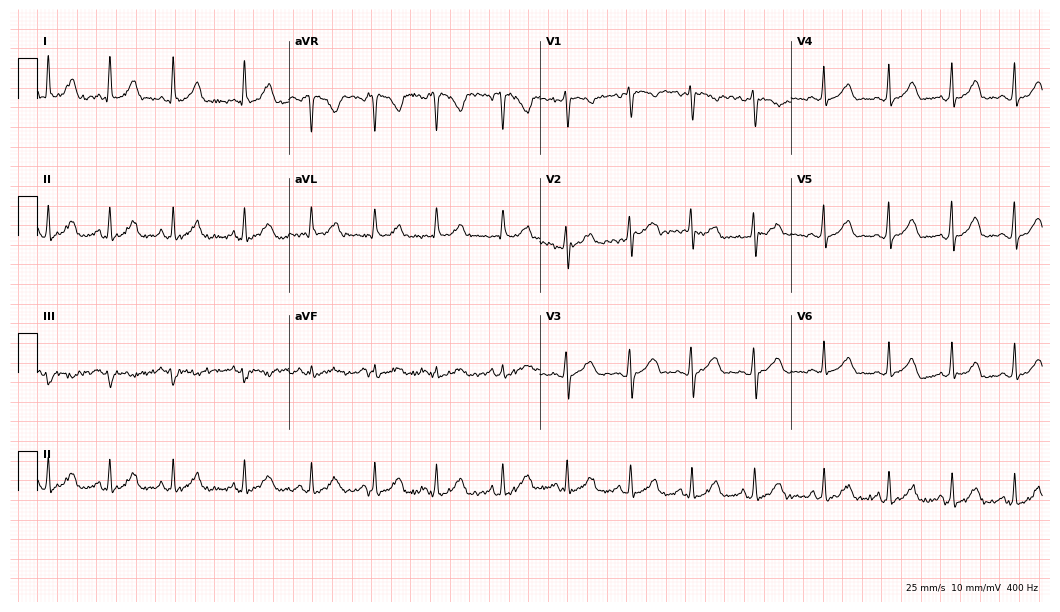
Electrocardiogram (10.2-second recording at 400 Hz), a 21-year-old female. Overall reading on record: normal ECG.